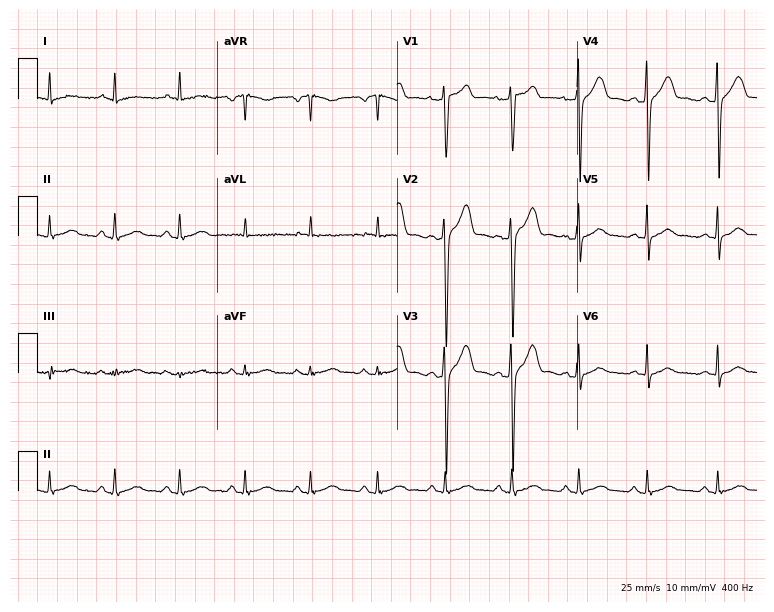
12-lead ECG (7.3-second recording at 400 Hz) from a 42-year-old male. Screened for six findings — first-degree AV block, right bundle branch block, left bundle branch block, sinus bradycardia, atrial fibrillation, sinus tachycardia — none is recorded. Findings outside these six are not listed.